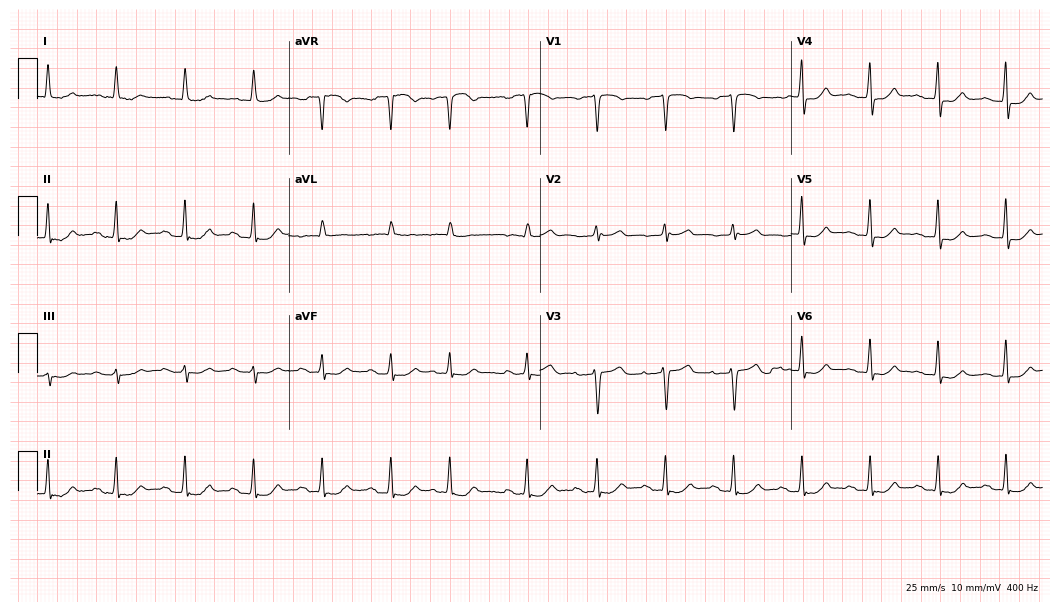
Standard 12-lead ECG recorded from a 69-year-old woman. None of these six findings is recorded: first-degree AV block, right bundle branch block (RBBB), left bundle branch block (LBBB), sinus bradycardia, atrial fibrillation (AF), sinus tachycardia.